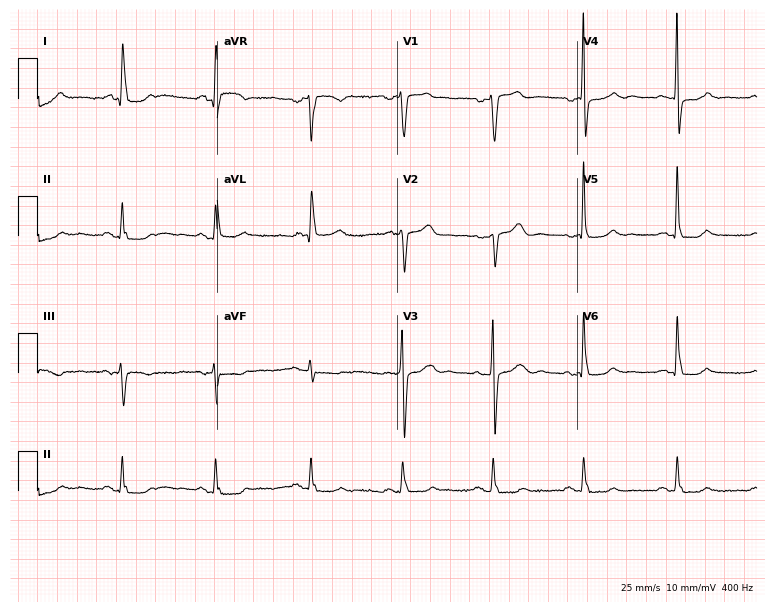
Resting 12-lead electrocardiogram. Patient: a male, 66 years old. Read as a normal ECG.